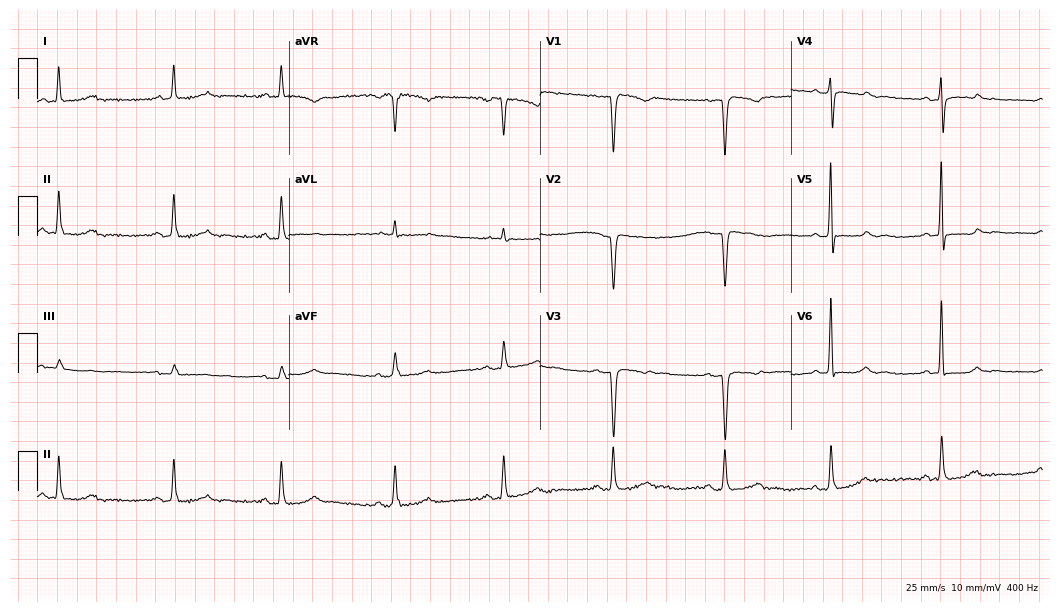
12-lead ECG from a woman, 58 years old. Screened for six findings — first-degree AV block, right bundle branch block (RBBB), left bundle branch block (LBBB), sinus bradycardia, atrial fibrillation (AF), sinus tachycardia — none is recorded. Findings outside these six are not listed.